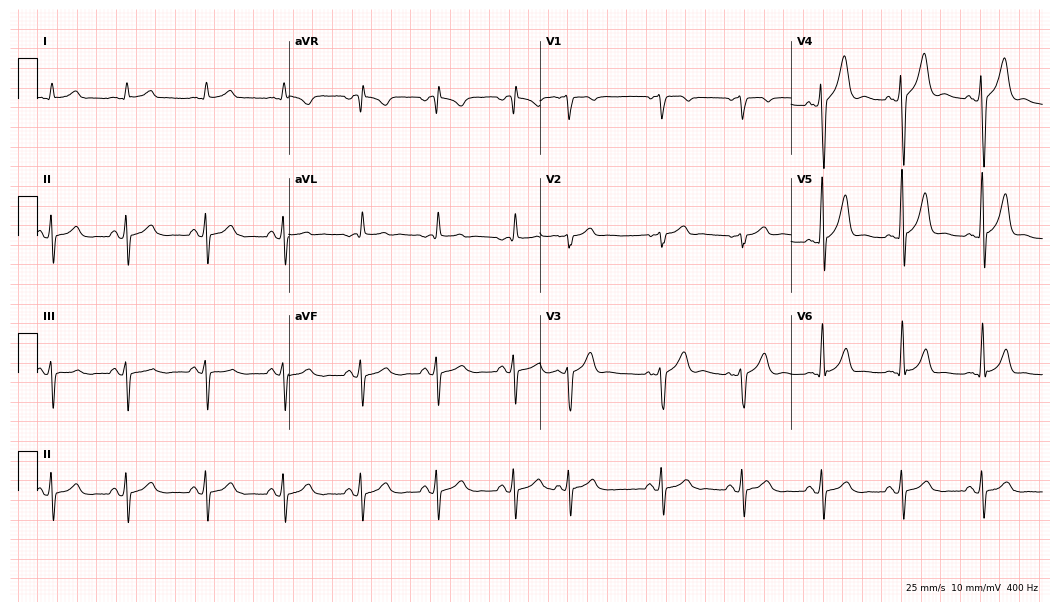
12-lead ECG (10.2-second recording at 400 Hz) from a 58-year-old male. Screened for six findings — first-degree AV block, right bundle branch block, left bundle branch block, sinus bradycardia, atrial fibrillation, sinus tachycardia — none is recorded.